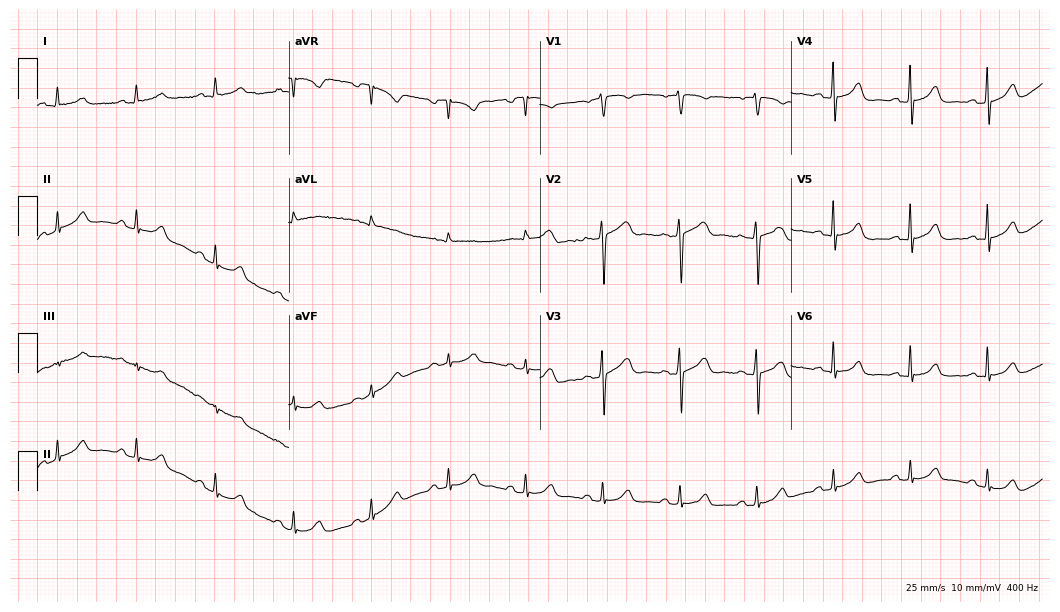
Standard 12-lead ECG recorded from a 56-year-old female patient. Read as a normal ECG.